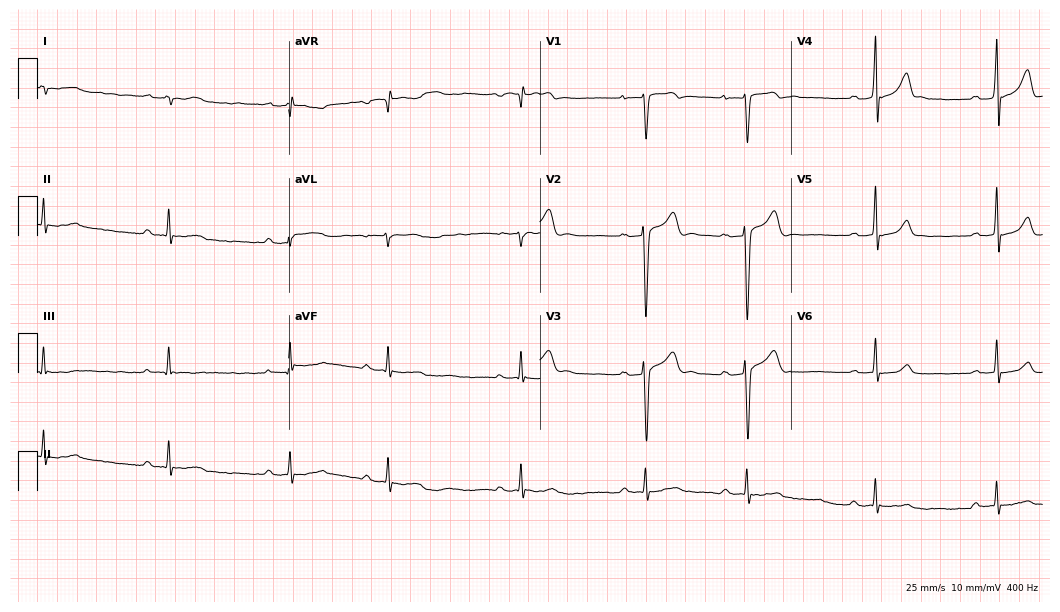
ECG — a male, 18 years old. Findings include first-degree AV block, right bundle branch block, sinus bradycardia (a sinus rate of 50 beats per minute or less).